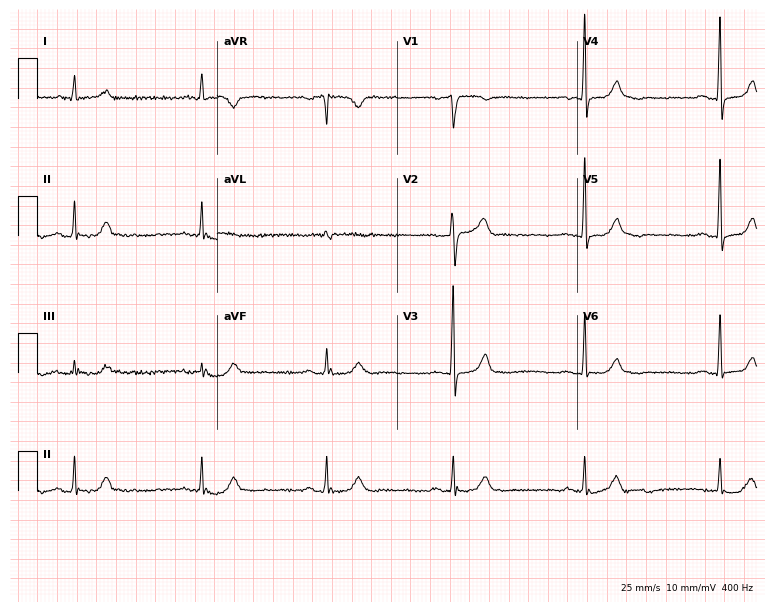
Electrocardiogram, a man, 78 years old. Interpretation includes sinus bradycardia (a sinus rate of 50 beats per minute or less).